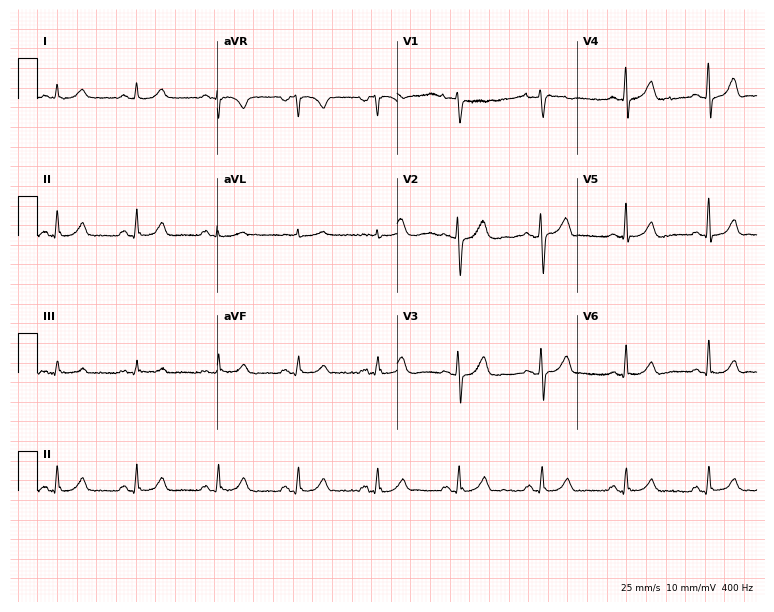
Electrocardiogram, a female, 51 years old. Overall reading on record: normal ECG.